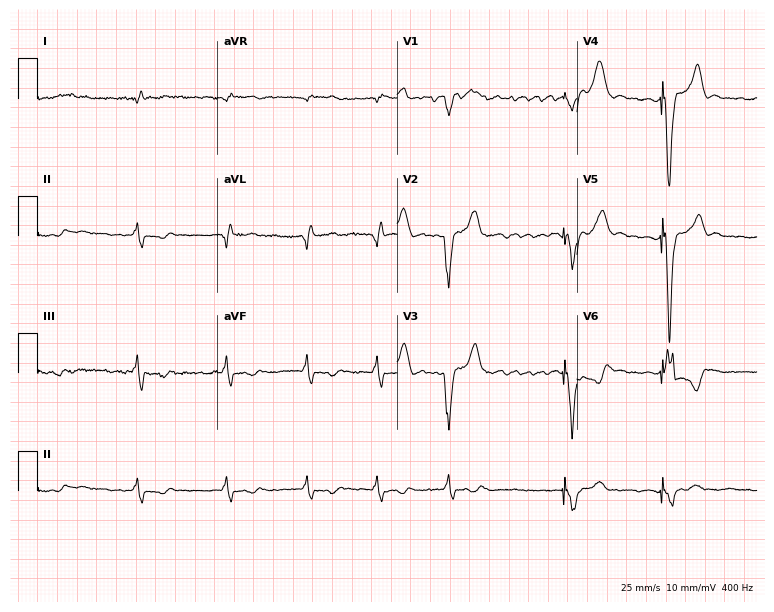
12-lead ECG from an 82-year-old man. Screened for six findings — first-degree AV block, right bundle branch block (RBBB), left bundle branch block (LBBB), sinus bradycardia, atrial fibrillation (AF), sinus tachycardia — none is recorded.